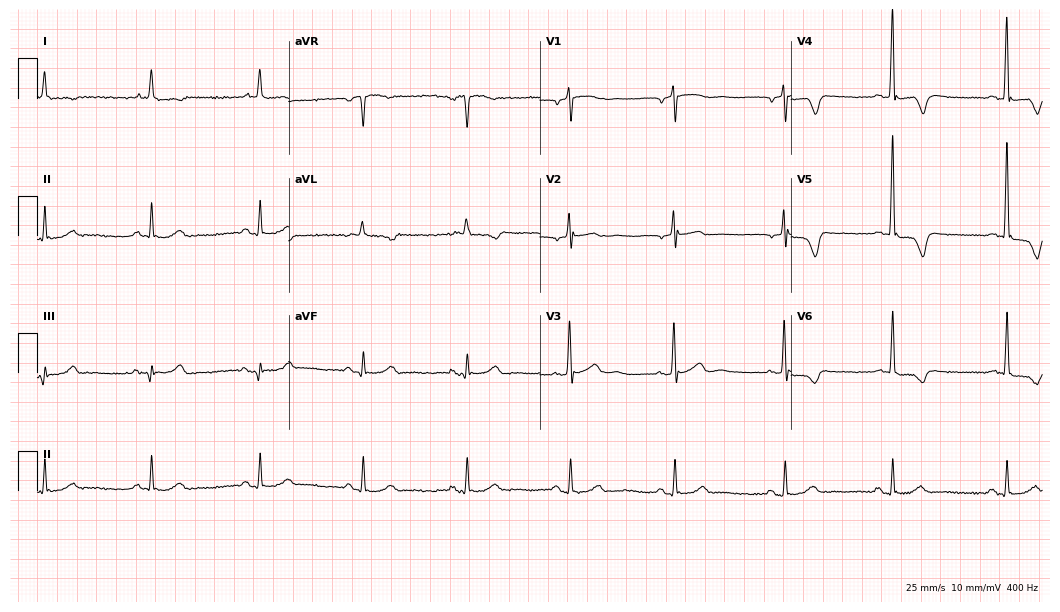
Resting 12-lead electrocardiogram. Patient: a male, 74 years old. Read as a normal ECG.